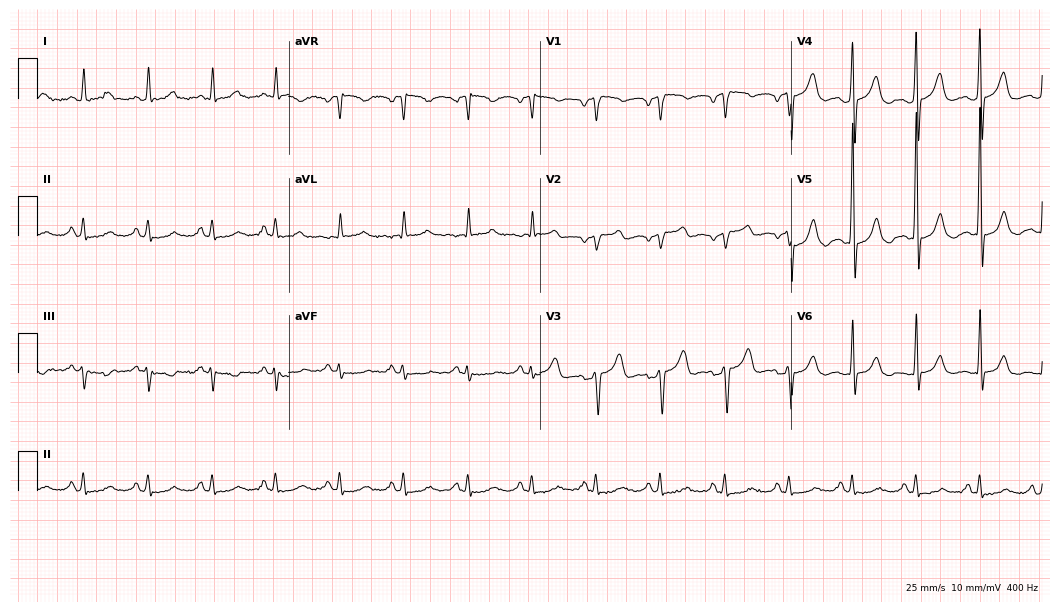
12-lead ECG from a man, 63 years old. Screened for six findings — first-degree AV block, right bundle branch block (RBBB), left bundle branch block (LBBB), sinus bradycardia, atrial fibrillation (AF), sinus tachycardia — none is recorded. Other findings, if any, are not listed.